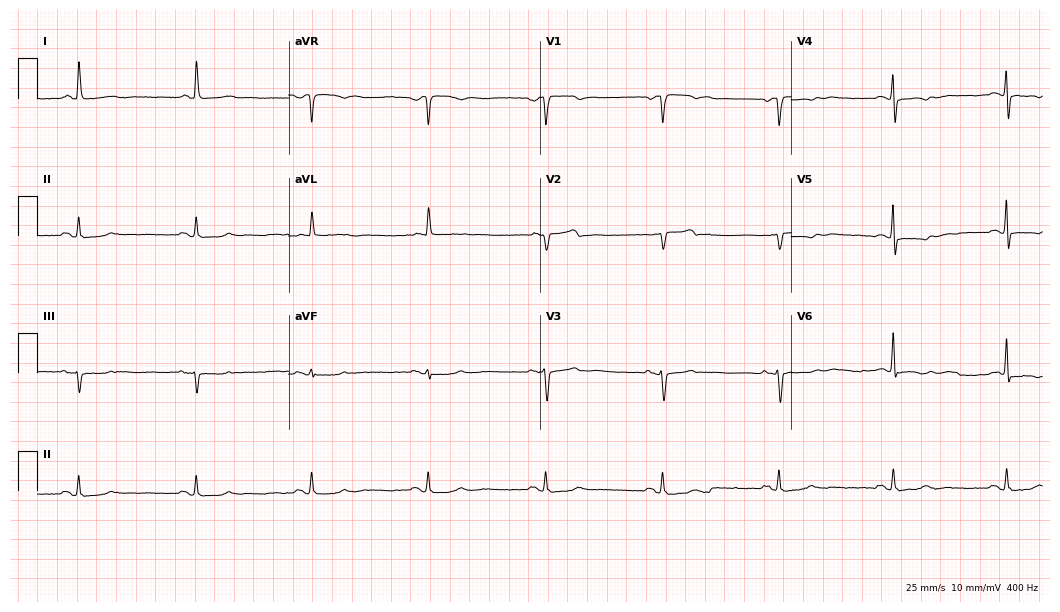
12-lead ECG from a 61-year-old woman (10.2-second recording at 400 Hz). No first-degree AV block, right bundle branch block, left bundle branch block, sinus bradycardia, atrial fibrillation or sinus tachycardia recorded for this tracing. Only these six findings were labelled.